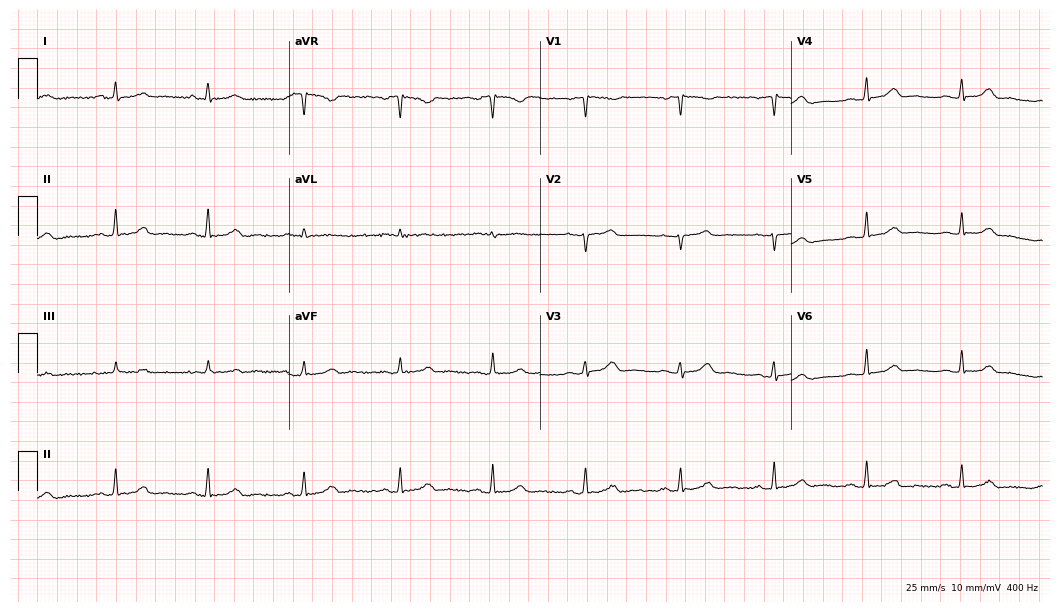
12-lead ECG (10.2-second recording at 400 Hz) from a 42-year-old female patient. Labelled as a normal ECG.